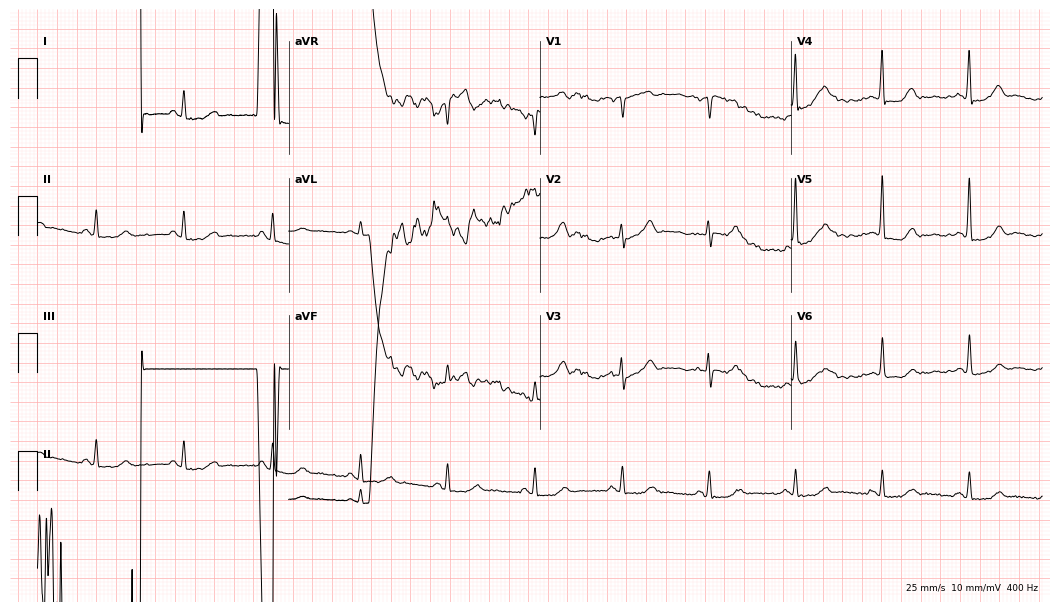
ECG — an 83-year-old woman. Screened for six findings — first-degree AV block, right bundle branch block (RBBB), left bundle branch block (LBBB), sinus bradycardia, atrial fibrillation (AF), sinus tachycardia — none is recorded.